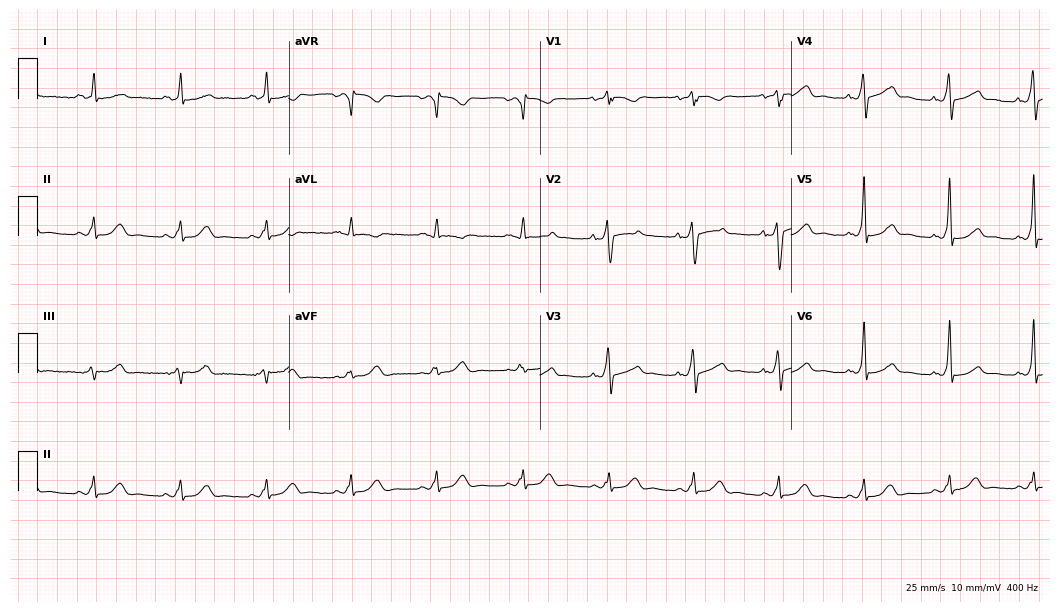
ECG — a 65-year-old male. Screened for six findings — first-degree AV block, right bundle branch block, left bundle branch block, sinus bradycardia, atrial fibrillation, sinus tachycardia — none is recorded. Other findings, if any, are not listed.